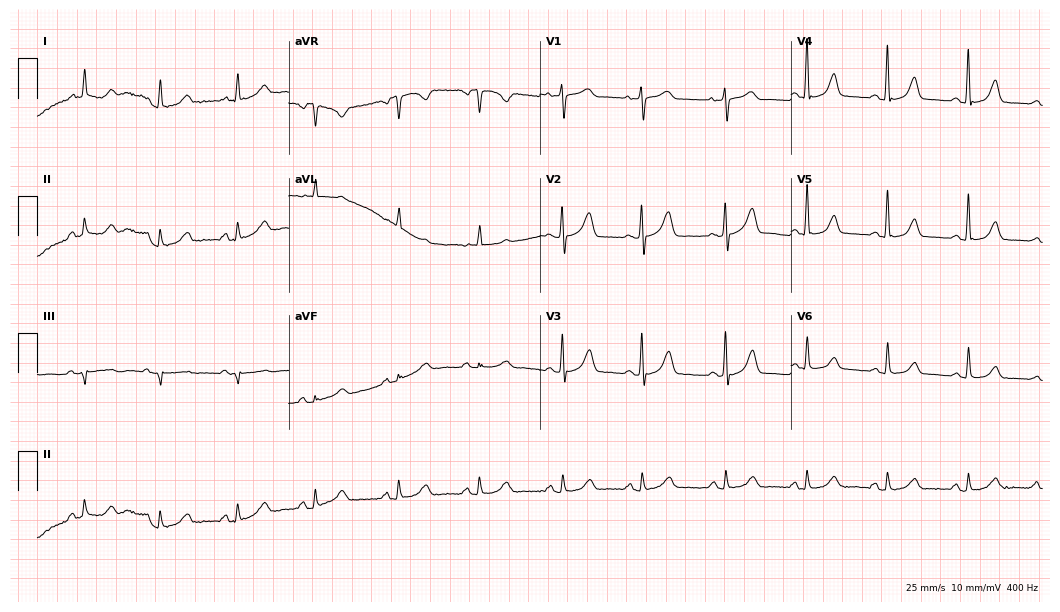
Resting 12-lead electrocardiogram. Patient: a female, 90 years old or older. Read as a normal ECG.